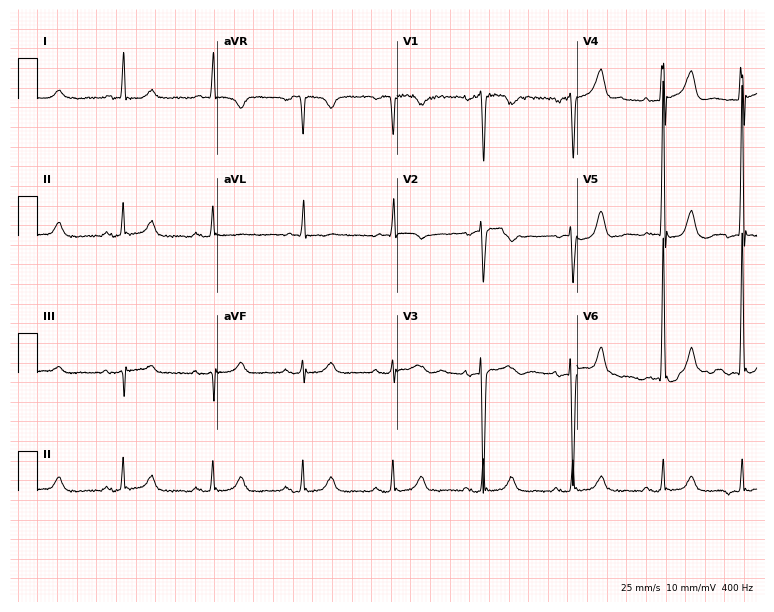
Resting 12-lead electrocardiogram. Patient: a male, 80 years old. None of these six findings is recorded: first-degree AV block, right bundle branch block, left bundle branch block, sinus bradycardia, atrial fibrillation, sinus tachycardia.